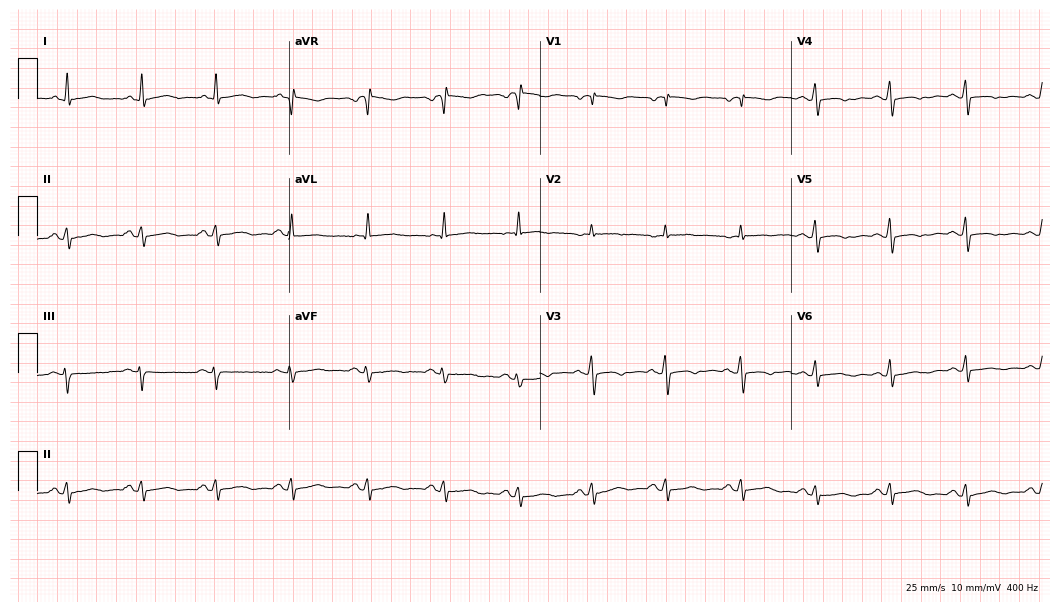
Electrocardiogram, a woman, 48 years old. Of the six screened findings (first-degree AV block, right bundle branch block (RBBB), left bundle branch block (LBBB), sinus bradycardia, atrial fibrillation (AF), sinus tachycardia), none is recorded. Other findings, if any, are not listed.